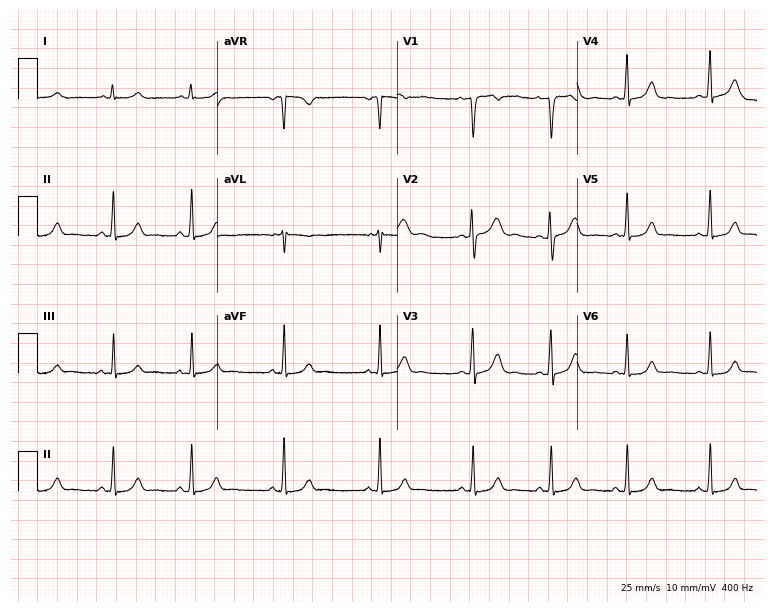
12-lead ECG from a 24-year-old woman. Screened for six findings — first-degree AV block, right bundle branch block, left bundle branch block, sinus bradycardia, atrial fibrillation, sinus tachycardia — none is recorded.